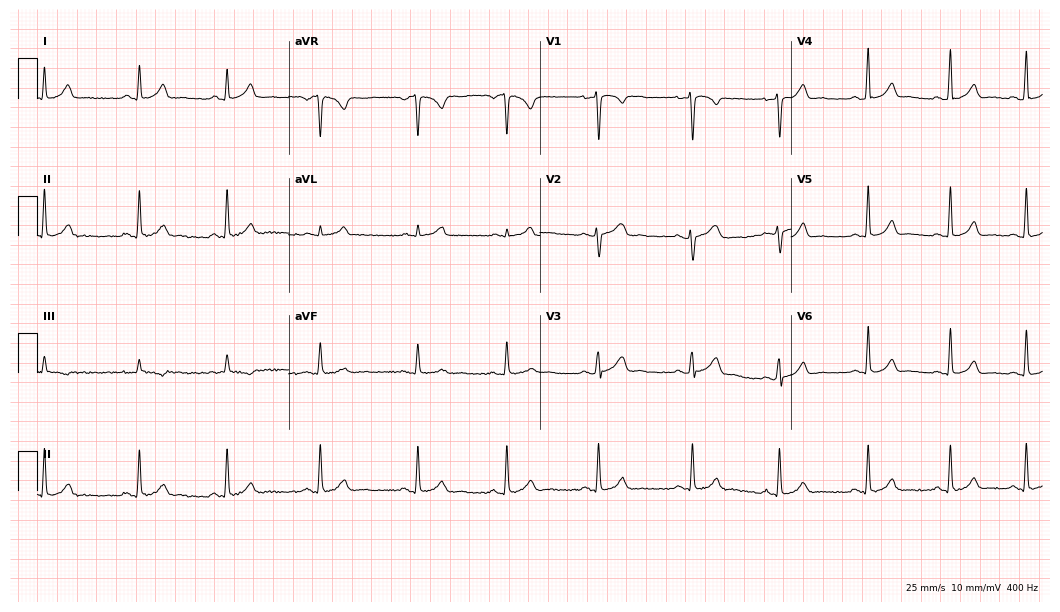
Standard 12-lead ECG recorded from a 24-year-old female (10.2-second recording at 400 Hz). Read as a normal ECG.